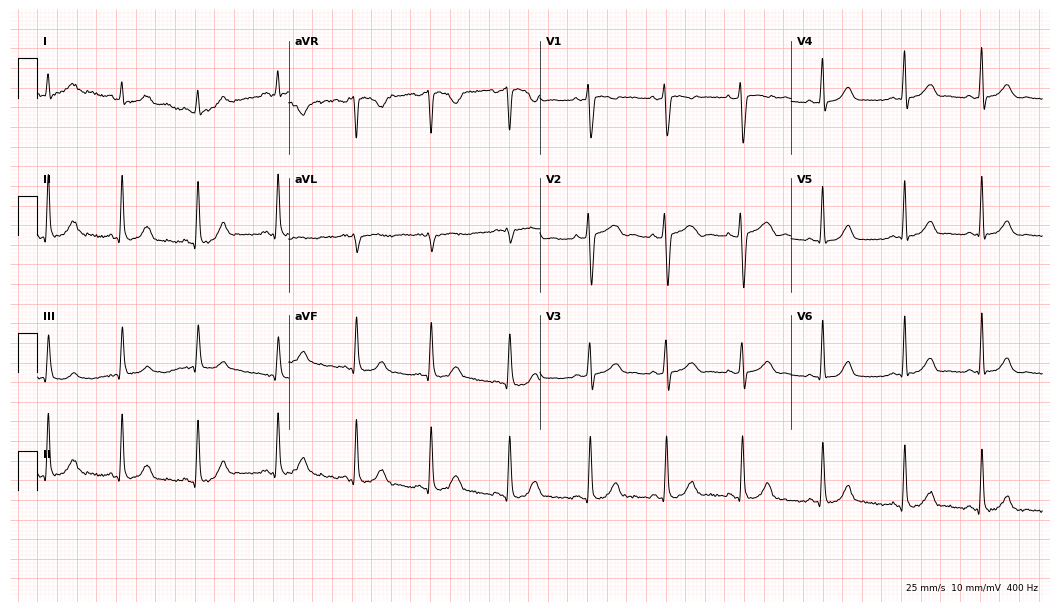
12-lead ECG from a 31-year-old female patient (10.2-second recording at 400 Hz). No first-degree AV block, right bundle branch block (RBBB), left bundle branch block (LBBB), sinus bradycardia, atrial fibrillation (AF) or sinus tachycardia recorded for this tracing. Only these six findings were labelled.